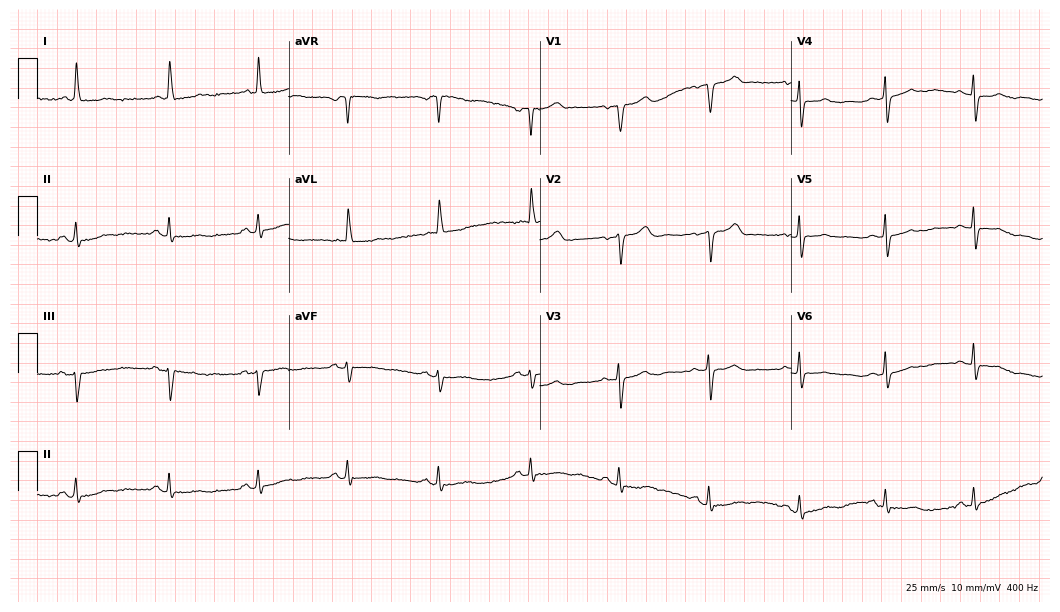
12-lead ECG from a male patient, 75 years old. Screened for six findings — first-degree AV block, right bundle branch block, left bundle branch block, sinus bradycardia, atrial fibrillation, sinus tachycardia — none is recorded.